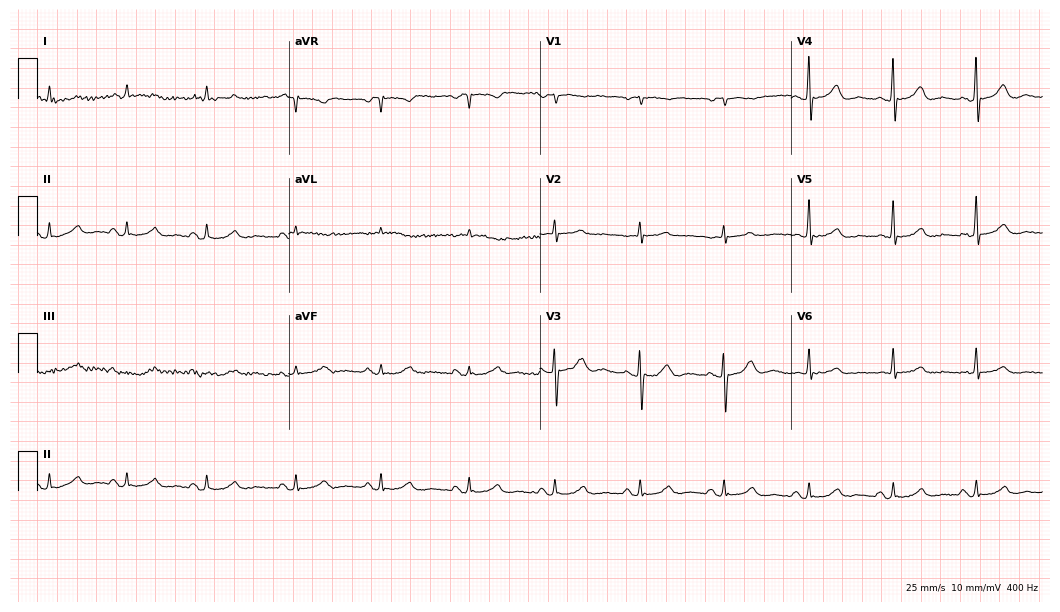
12-lead ECG from a man, 68 years old. Recorded interpretation: within normal limits.